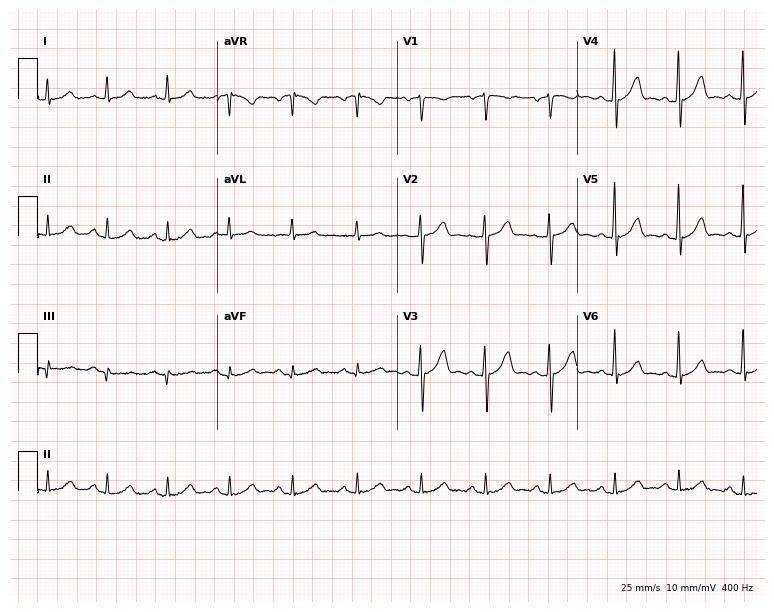
Standard 12-lead ECG recorded from a 56-year-old male (7.3-second recording at 400 Hz). Read as a normal ECG.